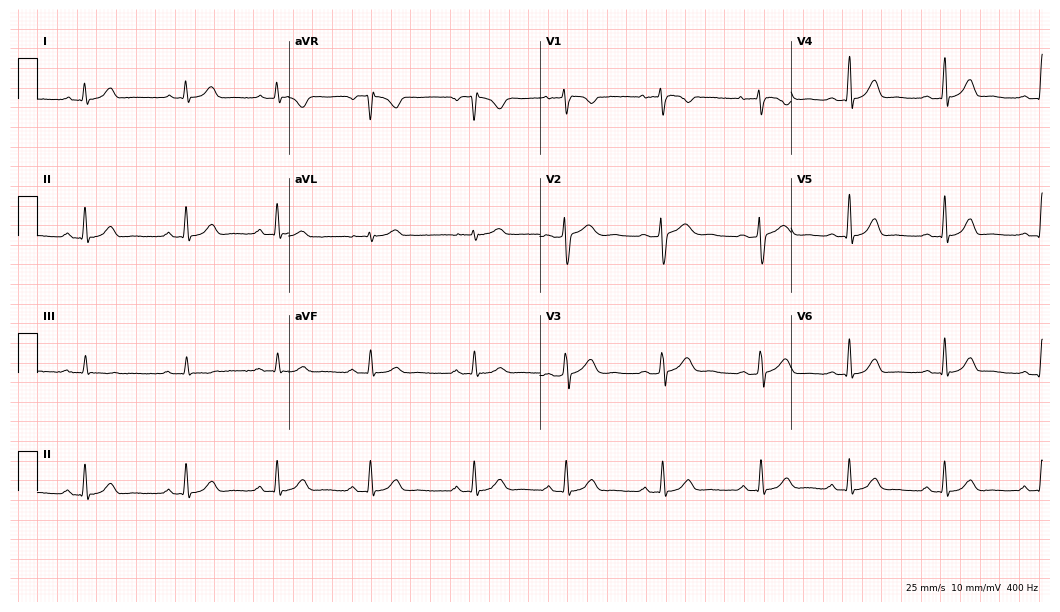
ECG (10.2-second recording at 400 Hz) — a female, 33 years old. Labelled as a normal ECG.